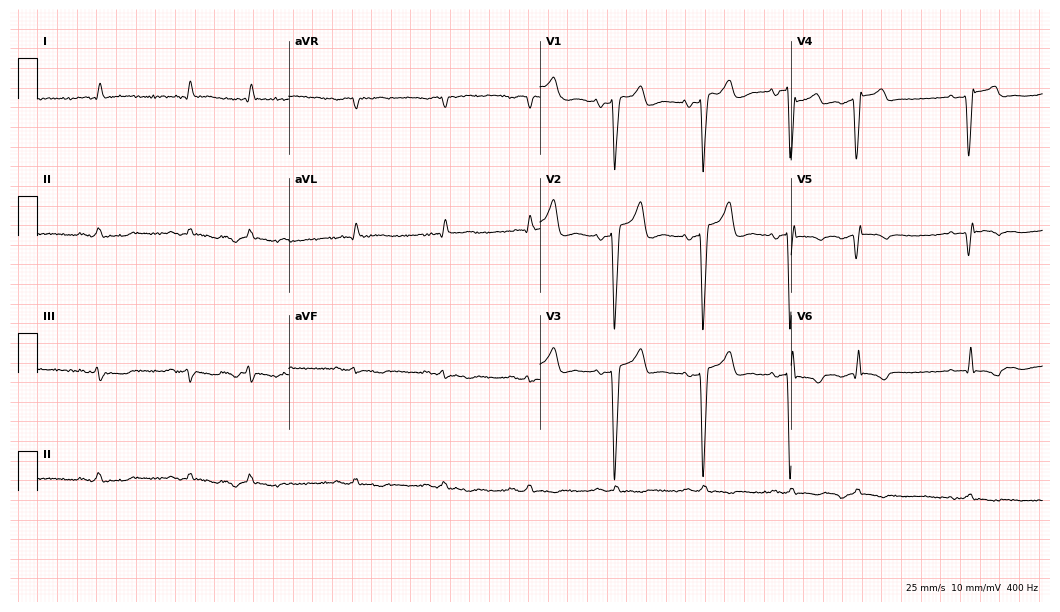
ECG (10.2-second recording at 400 Hz) — an 85-year-old man. Screened for six findings — first-degree AV block, right bundle branch block (RBBB), left bundle branch block (LBBB), sinus bradycardia, atrial fibrillation (AF), sinus tachycardia — none is recorded. Only these six findings were labelled.